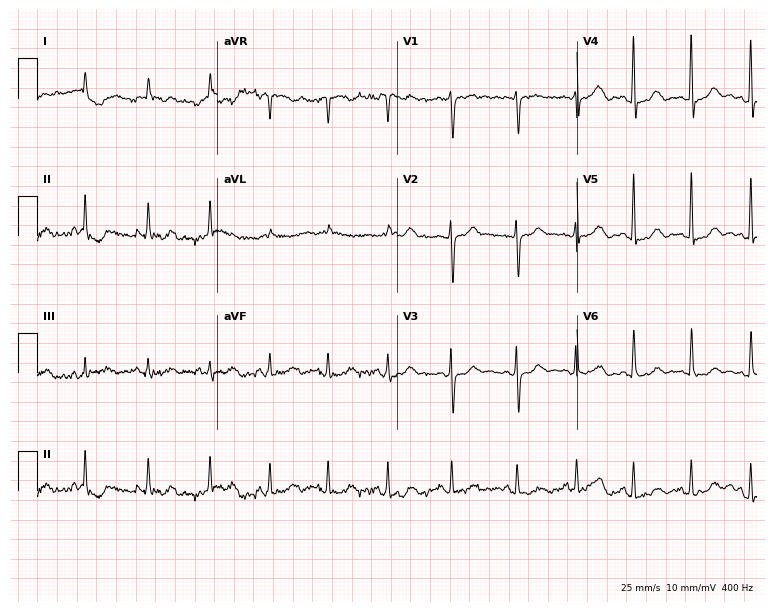
12-lead ECG (7.3-second recording at 400 Hz) from a female patient, 62 years old. Screened for six findings — first-degree AV block, right bundle branch block, left bundle branch block, sinus bradycardia, atrial fibrillation, sinus tachycardia — none is recorded. Other findings, if any, are not listed.